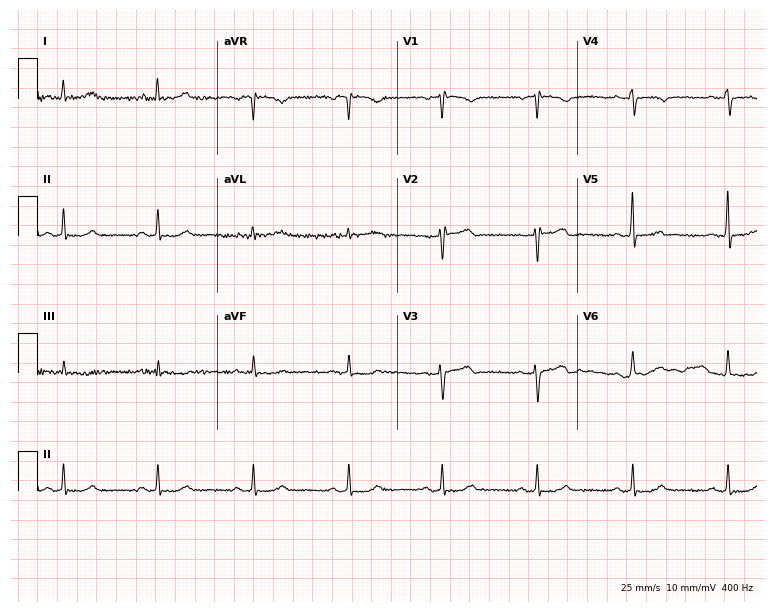
ECG (7.3-second recording at 400 Hz) — a 60-year-old woman. Screened for six findings — first-degree AV block, right bundle branch block, left bundle branch block, sinus bradycardia, atrial fibrillation, sinus tachycardia — none is recorded.